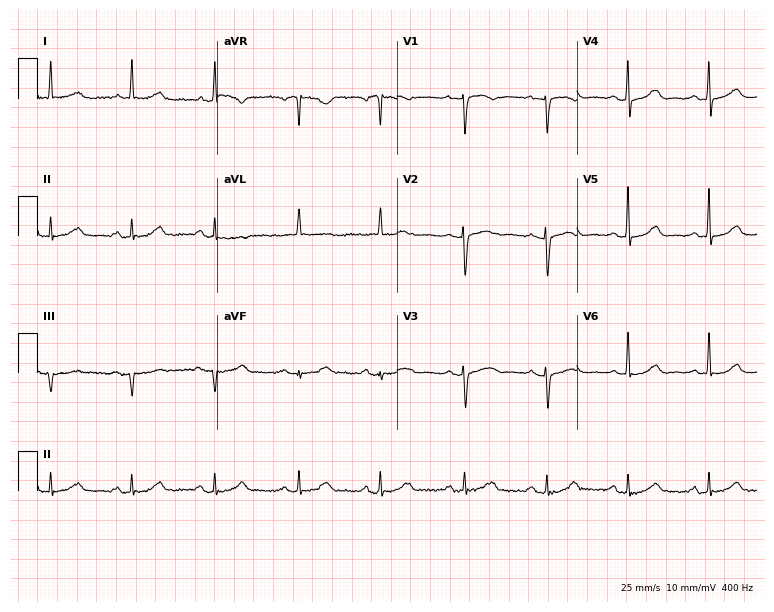
Electrocardiogram (7.3-second recording at 400 Hz), an 85-year-old woman. Overall reading on record: normal ECG.